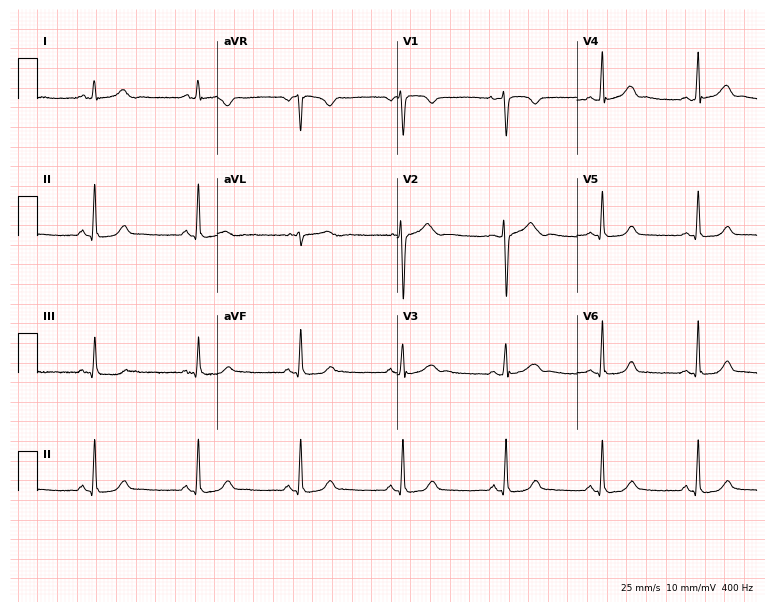
Standard 12-lead ECG recorded from a female, 26 years old (7.3-second recording at 400 Hz). Read as a normal ECG.